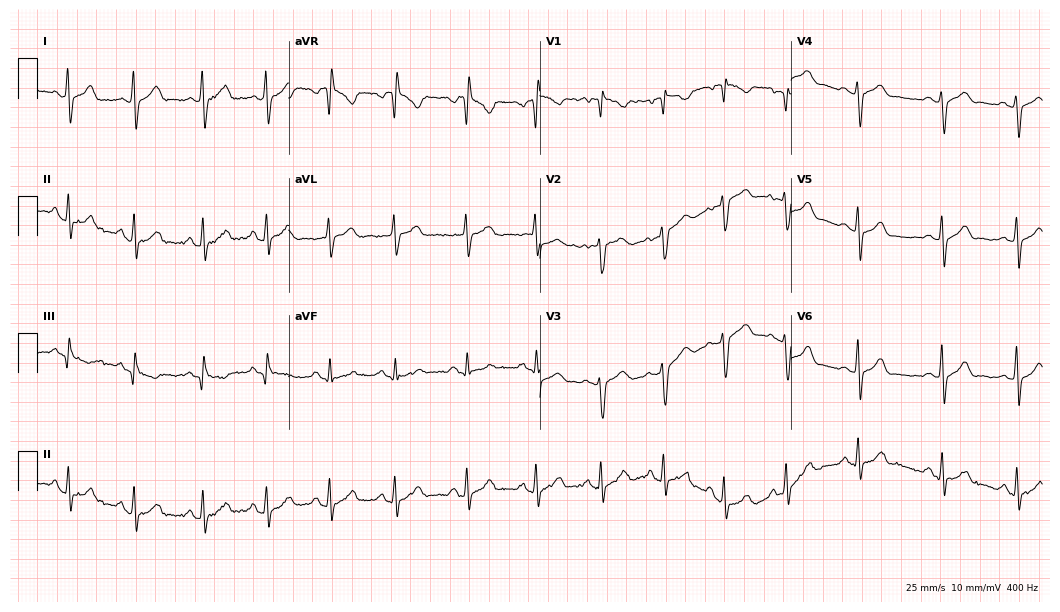
Resting 12-lead electrocardiogram. Patient: a female, 18 years old. None of these six findings is recorded: first-degree AV block, right bundle branch block, left bundle branch block, sinus bradycardia, atrial fibrillation, sinus tachycardia.